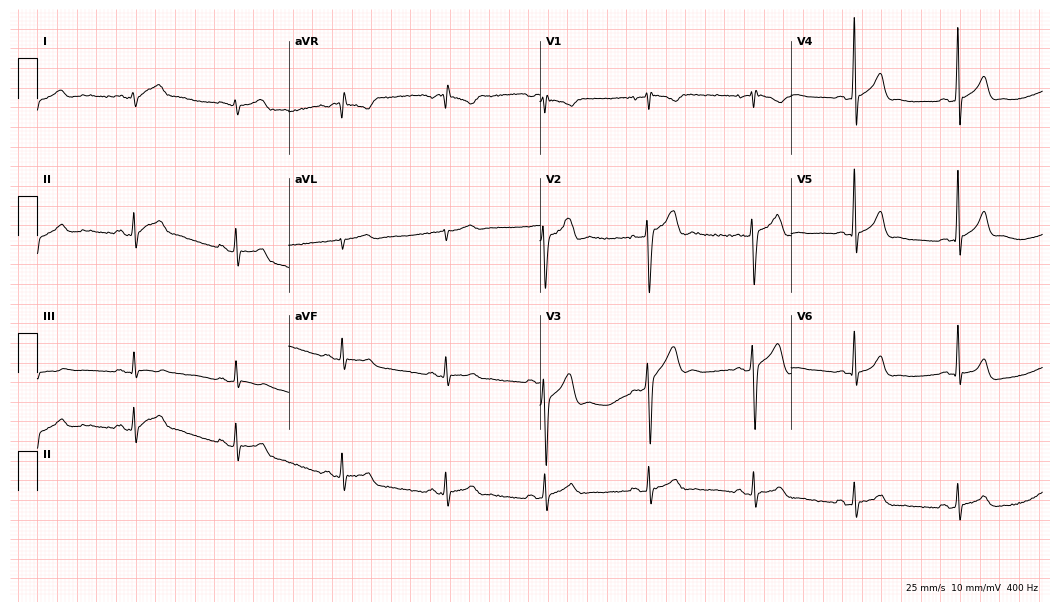
12-lead ECG from a man, 23 years old (10.2-second recording at 400 Hz). Recorded interpretation: within normal limits.